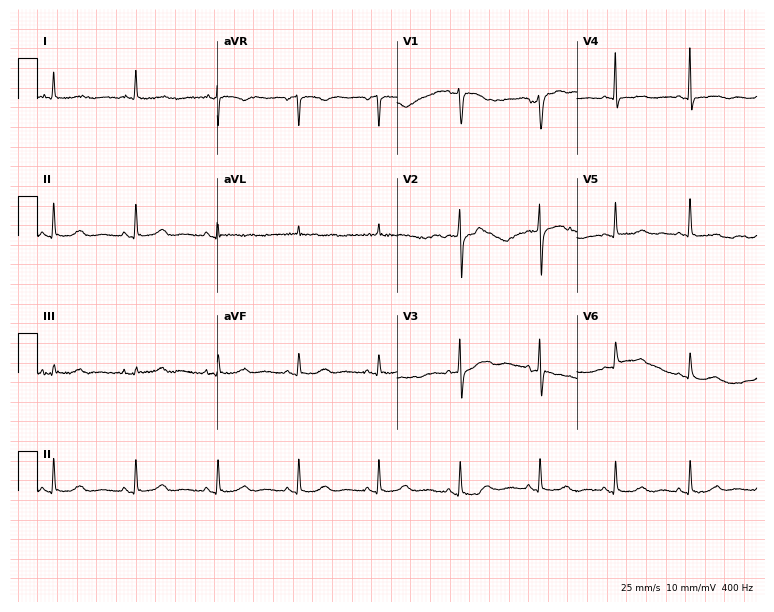
Electrocardiogram (7.3-second recording at 400 Hz), a 63-year-old woman. Of the six screened findings (first-degree AV block, right bundle branch block, left bundle branch block, sinus bradycardia, atrial fibrillation, sinus tachycardia), none is recorded.